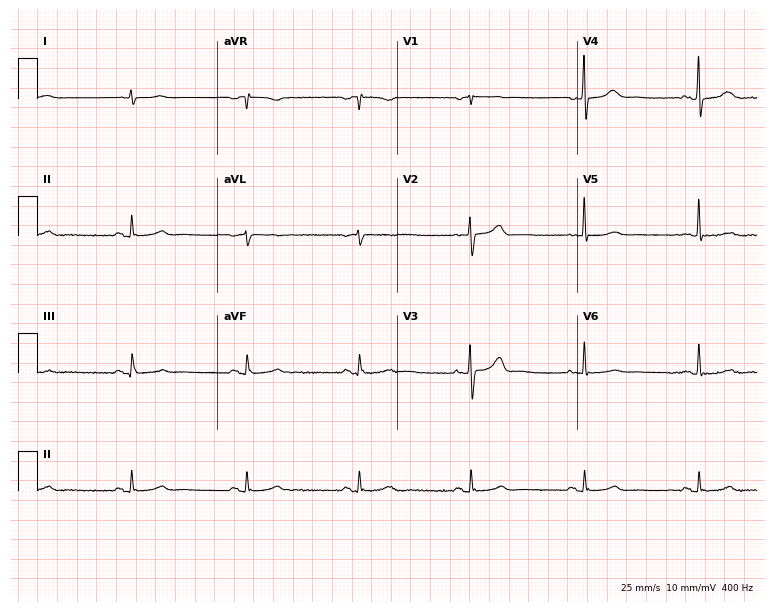
Resting 12-lead electrocardiogram (7.3-second recording at 400 Hz). Patient: a male, 65 years old. None of these six findings is recorded: first-degree AV block, right bundle branch block, left bundle branch block, sinus bradycardia, atrial fibrillation, sinus tachycardia.